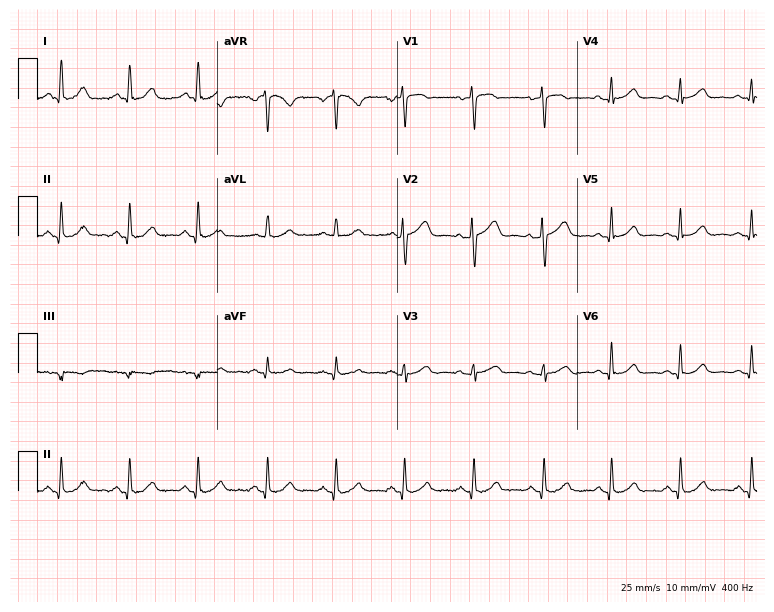
Electrocardiogram, a 48-year-old woman. Overall reading on record: normal ECG.